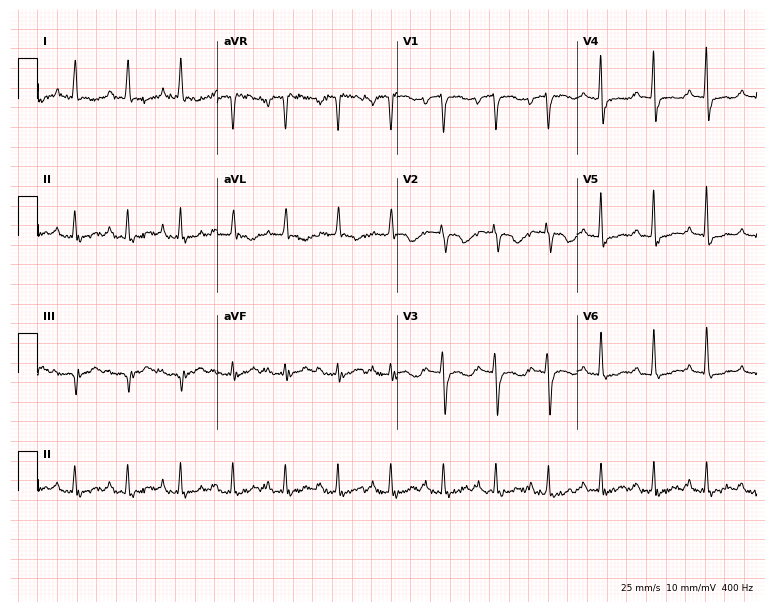
ECG — an 81-year-old female. Findings include sinus tachycardia (a sinus rate of 100 beats per minute or more).